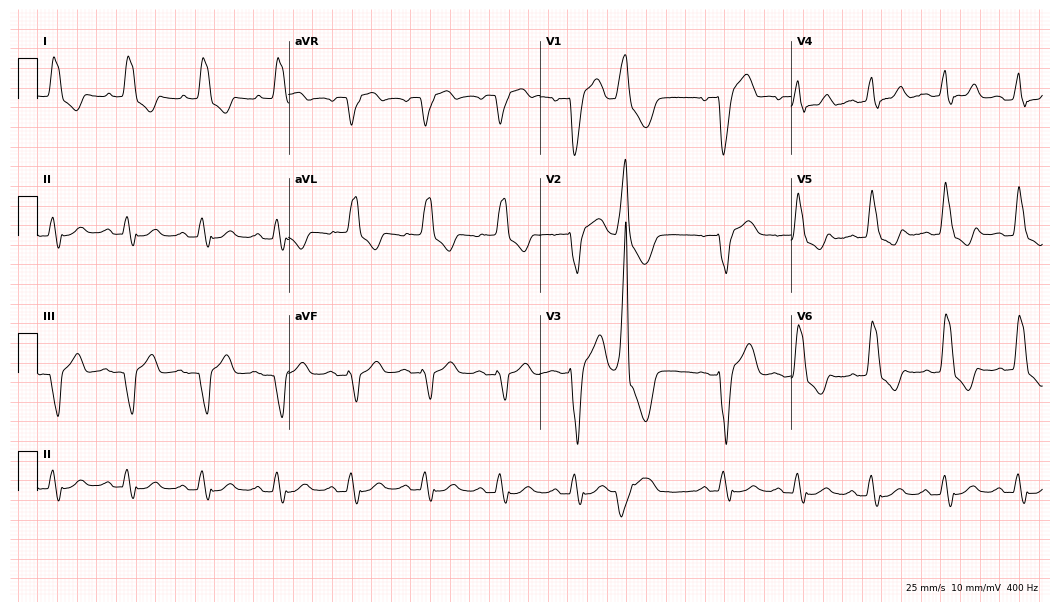
12-lead ECG (10.2-second recording at 400 Hz) from a male patient, 80 years old. Findings include left bundle branch block.